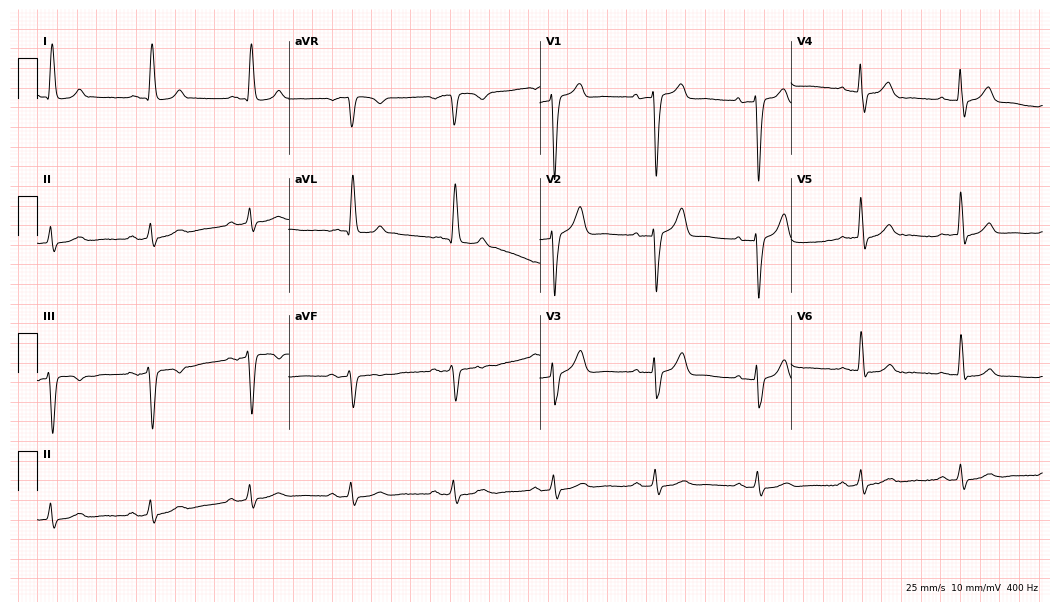
Standard 12-lead ECG recorded from a man, 79 years old. None of these six findings is recorded: first-degree AV block, right bundle branch block (RBBB), left bundle branch block (LBBB), sinus bradycardia, atrial fibrillation (AF), sinus tachycardia. Other findings, if any, are not listed.